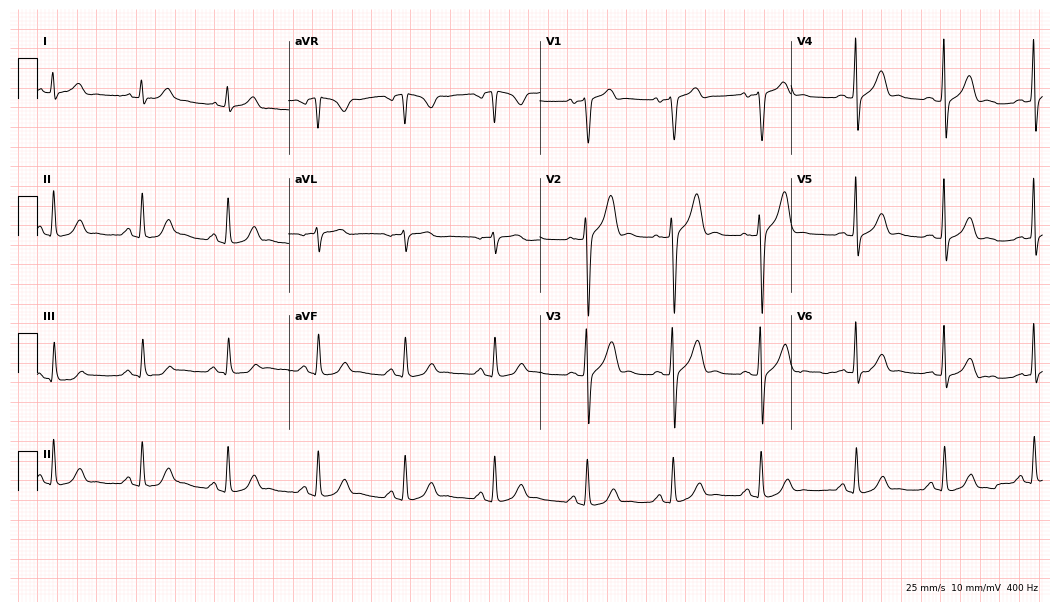
Resting 12-lead electrocardiogram. Patient: a 35-year-old man. None of these six findings is recorded: first-degree AV block, right bundle branch block (RBBB), left bundle branch block (LBBB), sinus bradycardia, atrial fibrillation (AF), sinus tachycardia. Only these six findings were labelled.